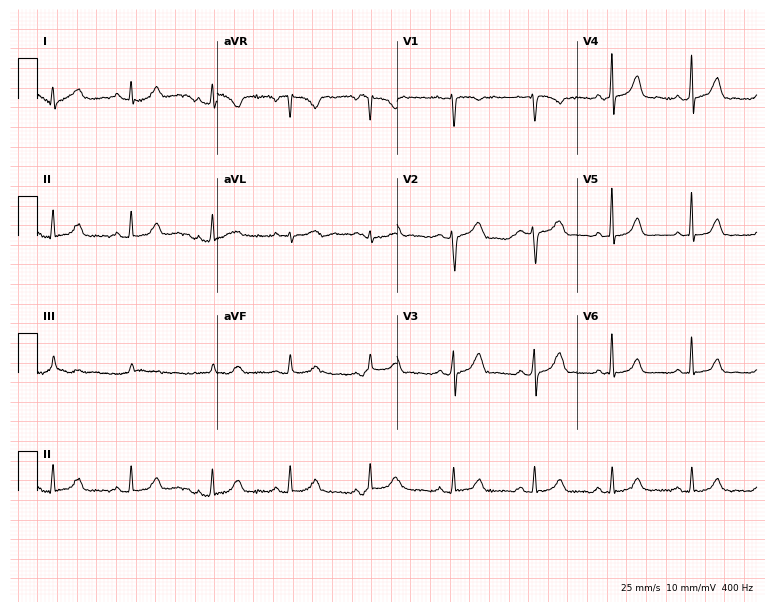
ECG (7.3-second recording at 400 Hz) — a 29-year-old woman. Screened for six findings — first-degree AV block, right bundle branch block, left bundle branch block, sinus bradycardia, atrial fibrillation, sinus tachycardia — none is recorded. Other findings, if any, are not listed.